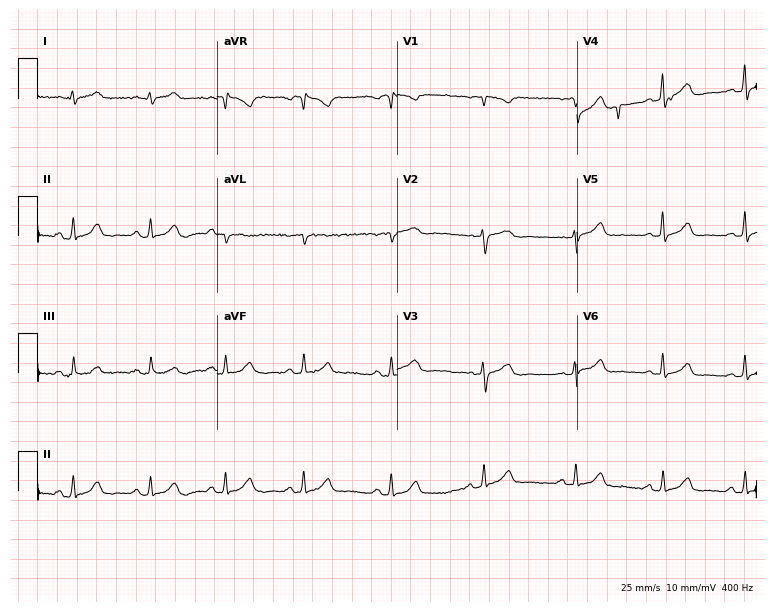
12-lead ECG from a 44-year-old woman (7.3-second recording at 400 Hz). No first-degree AV block, right bundle branch block, left bundle branch block, sinus bradycardia, atrial fibrillation or sinus tachycardia recorded for this tracing.